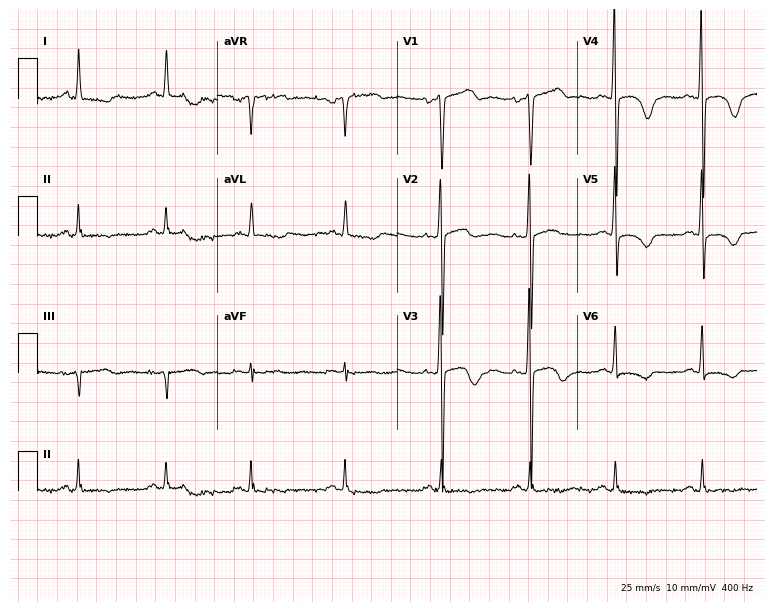
Resting 12-lead electrocardiogram (7.3-second recording at 400 Hz). Patient: a 29-year-old female. None of these six findings is recorded: first-degree AV block, right bundle branch block, left bundle branch block, sinus bradycardia, atrial fibrillation, sinus tachycardia.